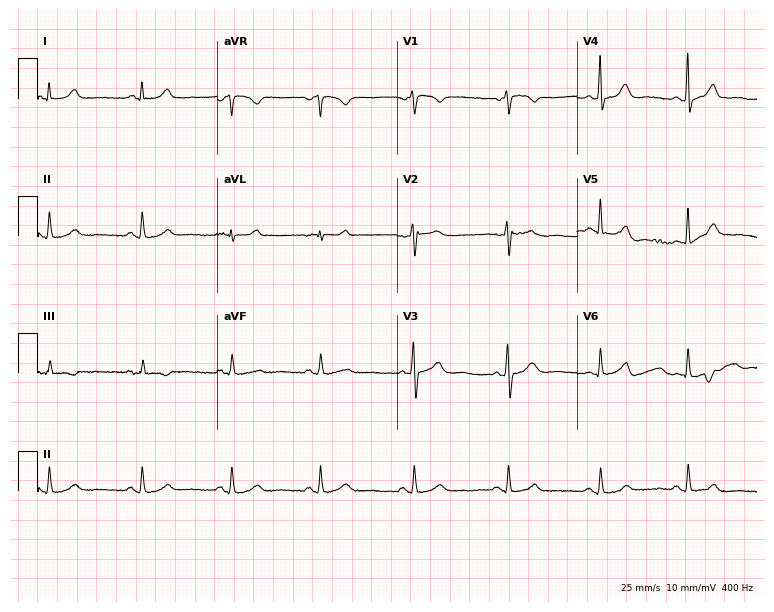
12-lead ECG from a 52-year-old female. Labelled as a normal ECG.